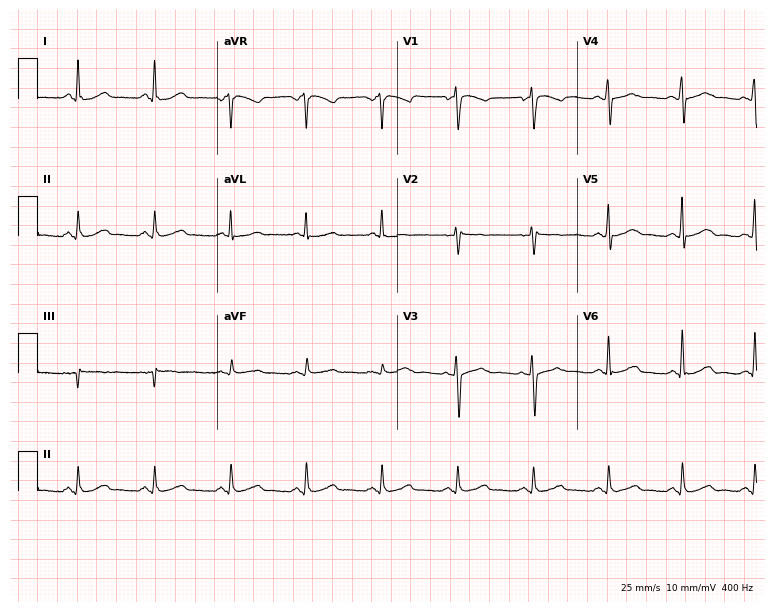
ECG — a woman, 44 years old. Labelled as a normal ECG.